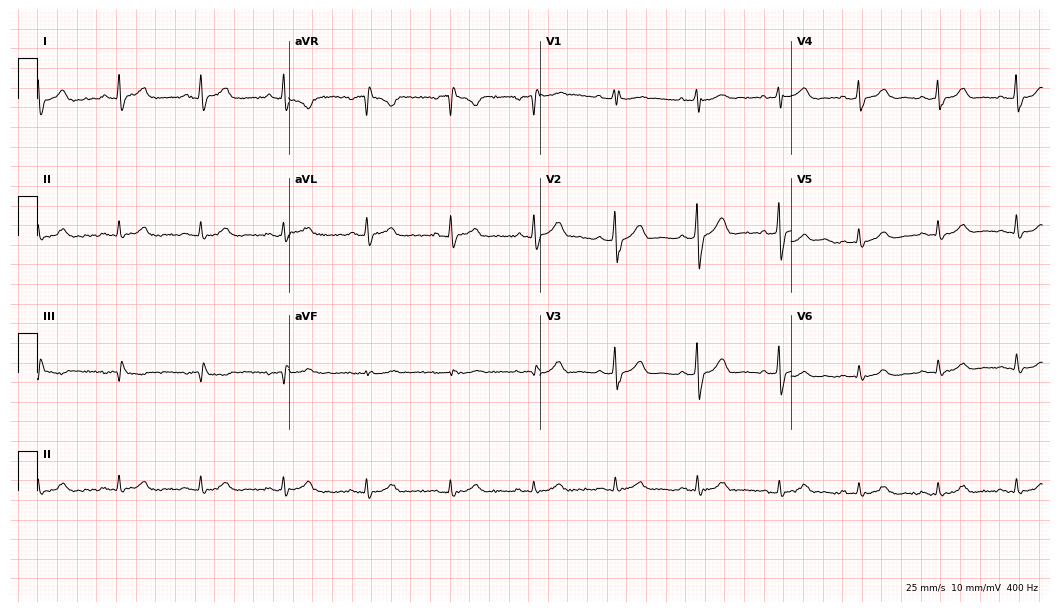
ECG (10.2-second recording at 400 Hz) — a 66-year-old male patient. Screened for six findings — first-degree AV block, right bundle branch block, left bundle branch block, sinus bradycardia, atrial fibrillation, sinus tachycardia — none is recorded.